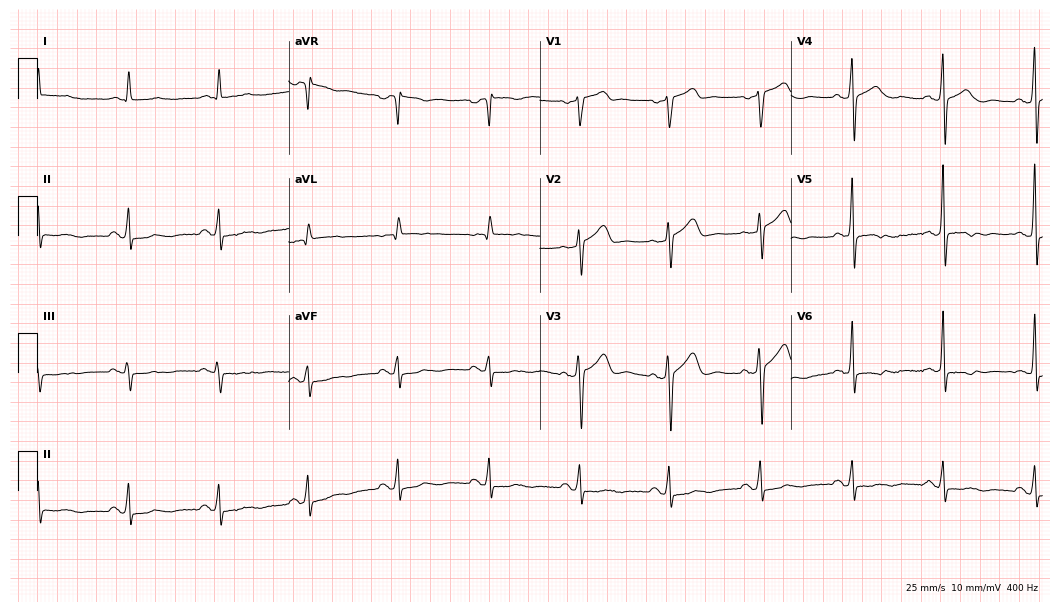
Standard 12-lead ECG recorded from a 71-year-old man. None of these six findings is recorded: first-degree AV block, right bundle branch block, left bundle branch block, sinus bradycardia, atrial fibrillation, sinus tachycardia.